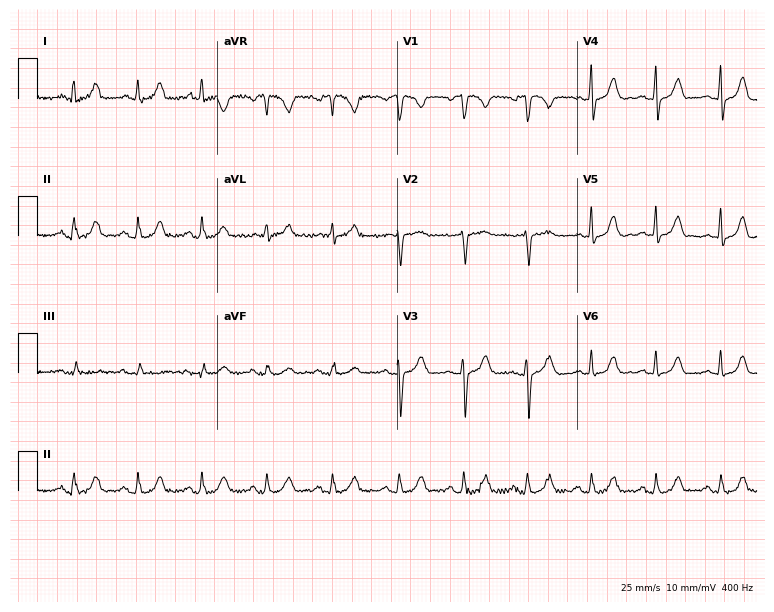
ECG — a woman, 47 years old. Labelled as a normal ECG.